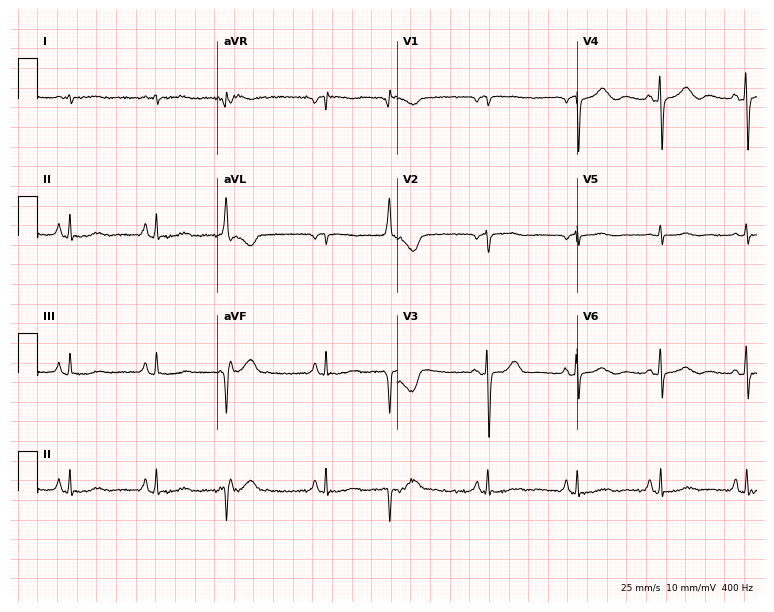
Resting 12-lead electrocardiogram (7.3-second recording at 400 Hz). Patient: a male, 86 years old. Read as a normal ECG.